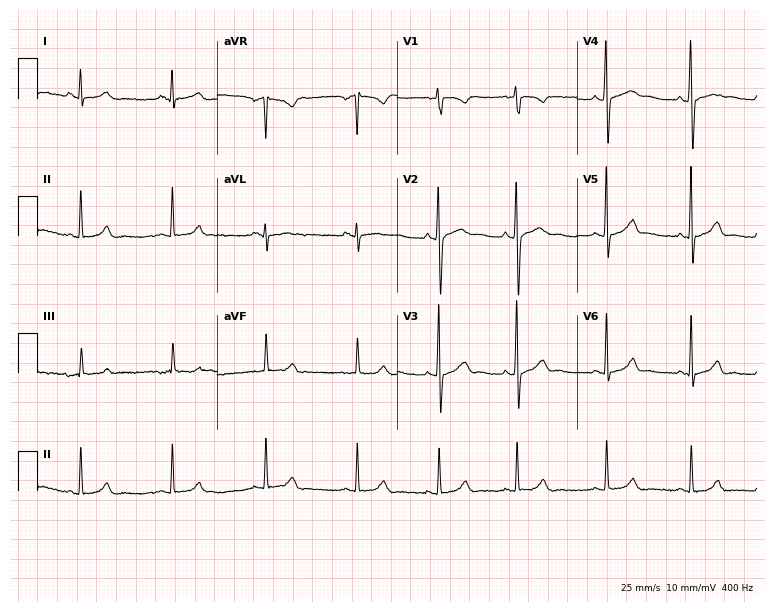
Resting 12-lead electrocardiogram (7.3-second recording at 400 Hz). Patient: a 21-year-old woman. Read as a normal ECG.